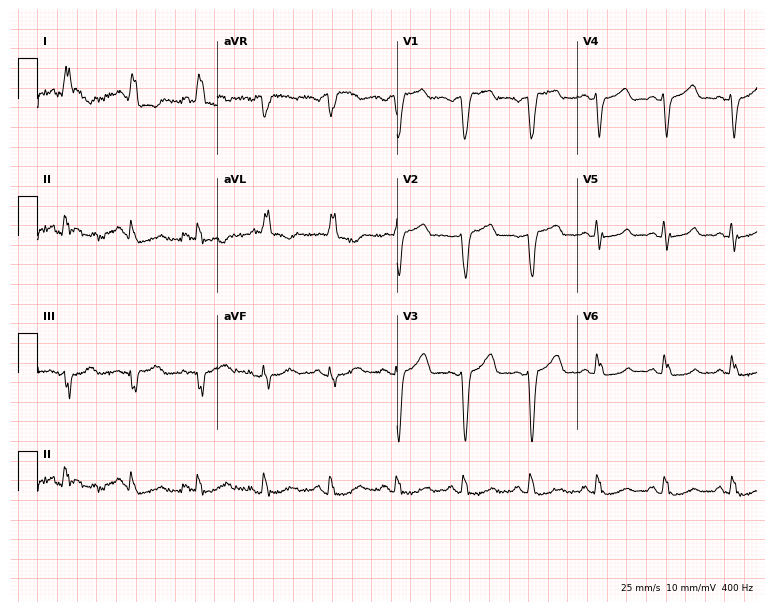
ECG (7.3-second recording at 400 Hz) — a 65-year-old female. Screened for six findings — first-degree AV block, right bundle branch block, left bundle branch block, sinus bradycardia, atrial fibrillation, sinus tachycardia — none is recorded. Other findings, if any, are not listed.